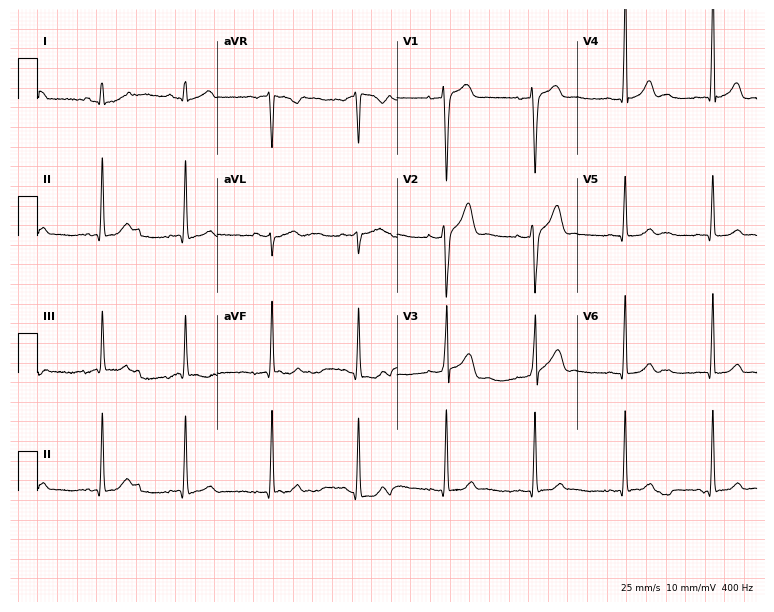
Electrocardiogram, a 23-year-old man. Of the six screened findings (first-degree AV block, right bundle branch block, left bundle branch block, sinus bradycardia, atrial fibrillation, sinus tachycardia), none is recorded.